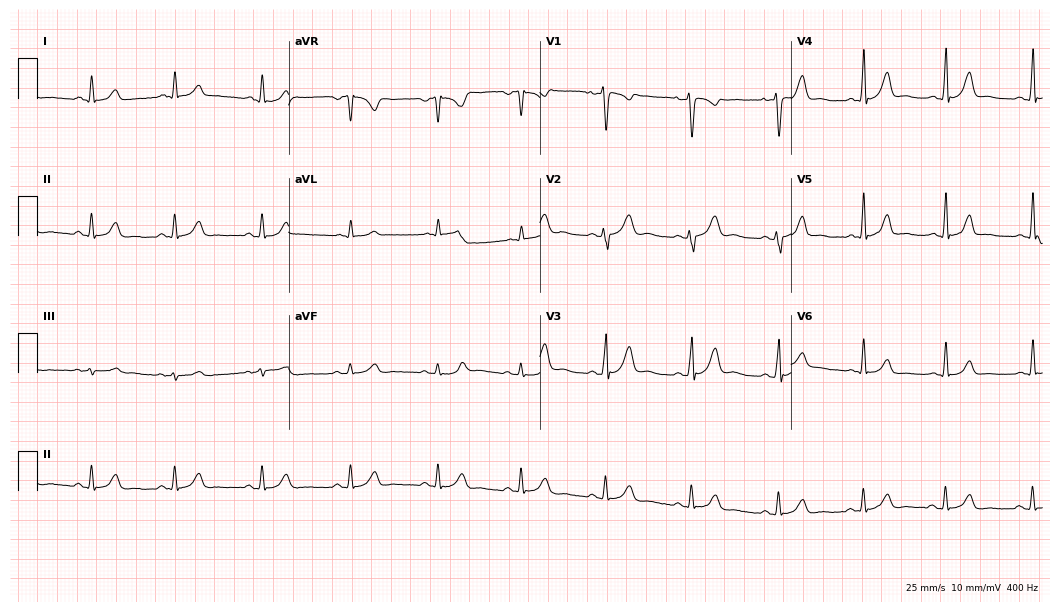
Electrocardiogram, a female, 23 years old. Overall reading on record: normal ECG.